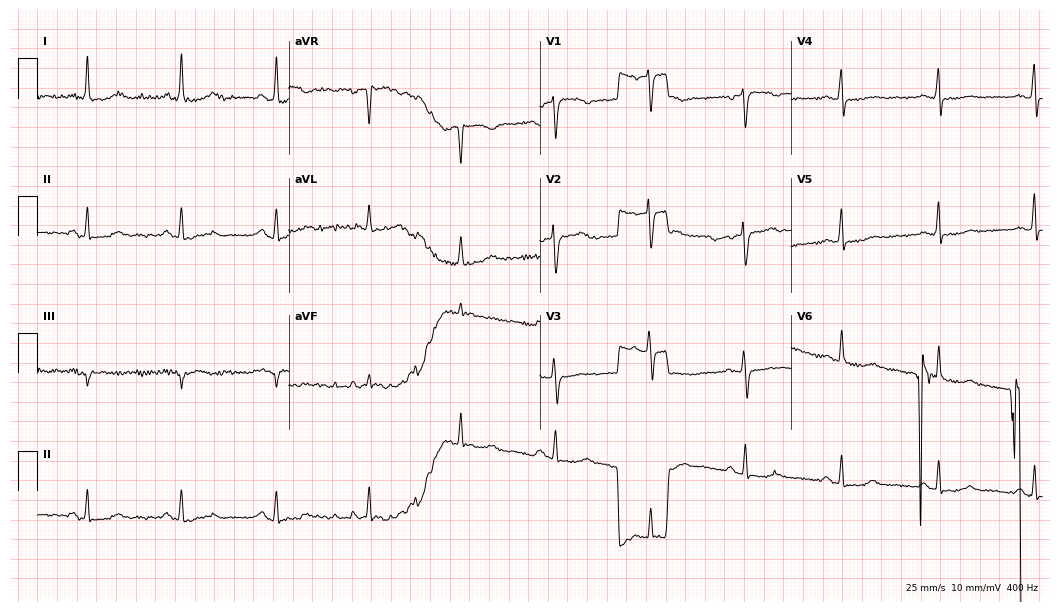
Resting 12-lead electrocardiogram (10.2-second recording at 400 Hz). Patient: a female, 55 years old. None of these six findings is recorded: first-degree AV block, right bundle branch block, left bundle branch block, sinus bradycardia, atrial fibrillation, sinus tachycardia.